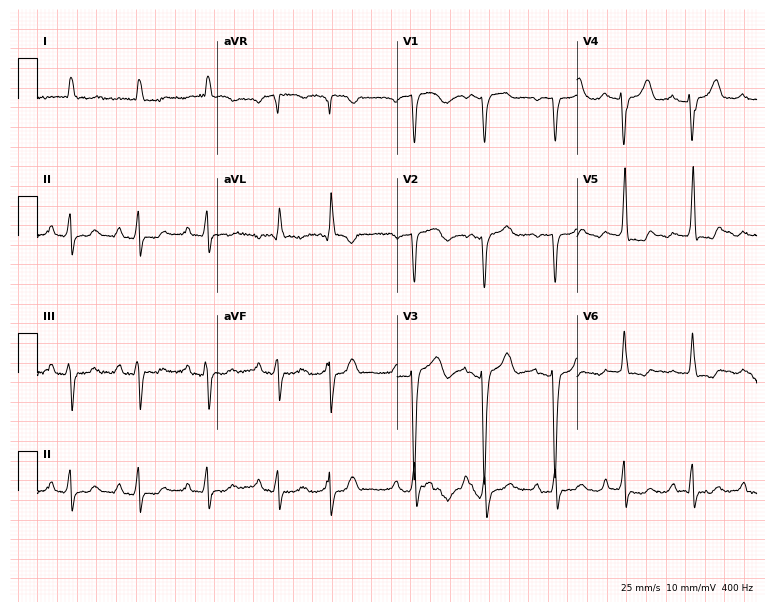
Standard 12-lead ECG recorded from a 77-year-old female. None of these six findings is recorded: first-degree AV block, right bundle branch block, left bundle branch block, sinus bradycardia, atrial fibrillation, sinus tachycardia.